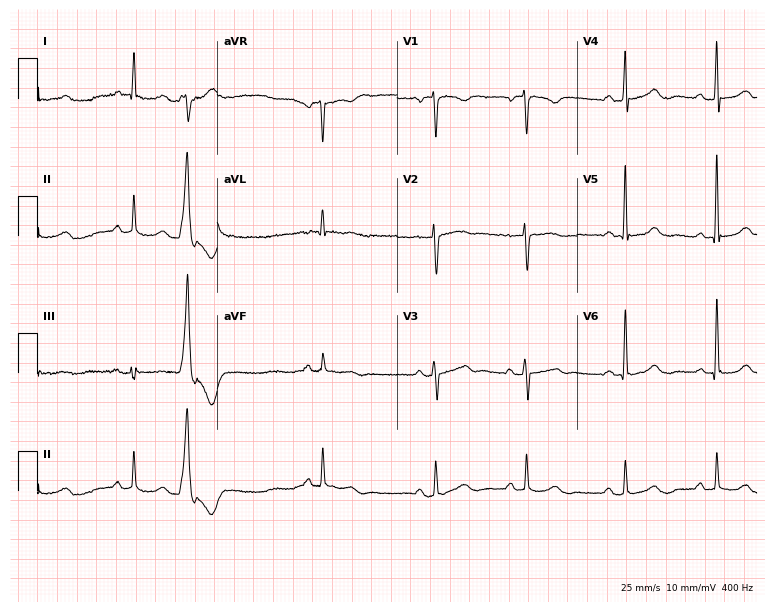
Electrocardiogram (7.3-second recording at 400 Hz), a 58-year-old female. Of the six screened findings (first-degree AV block, right bundle branch block, left bundle branch block, sinus bradycardia, atrial fibrillation, sinus tachycardia), none is recorded.